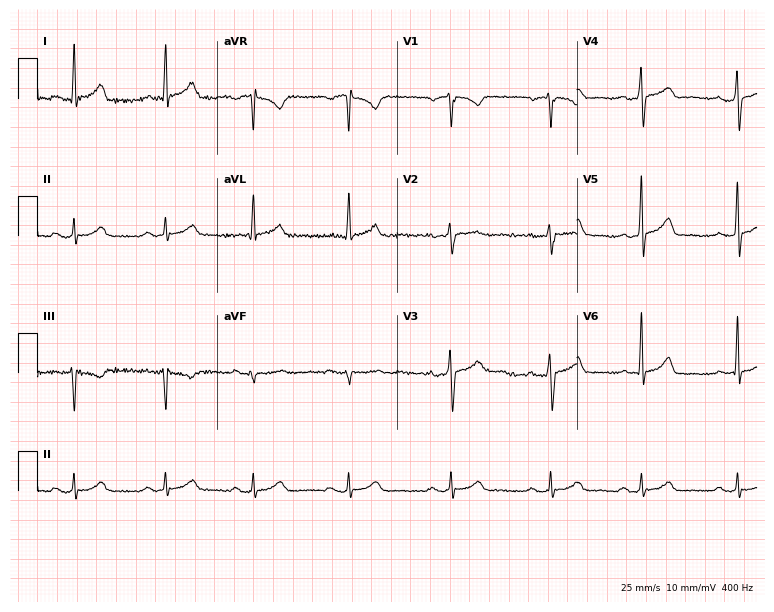
Electrocardiogram (7.3-second recording at 400 Hz), a male patient, 45 years old. Interpretation includes first-degree AV block.